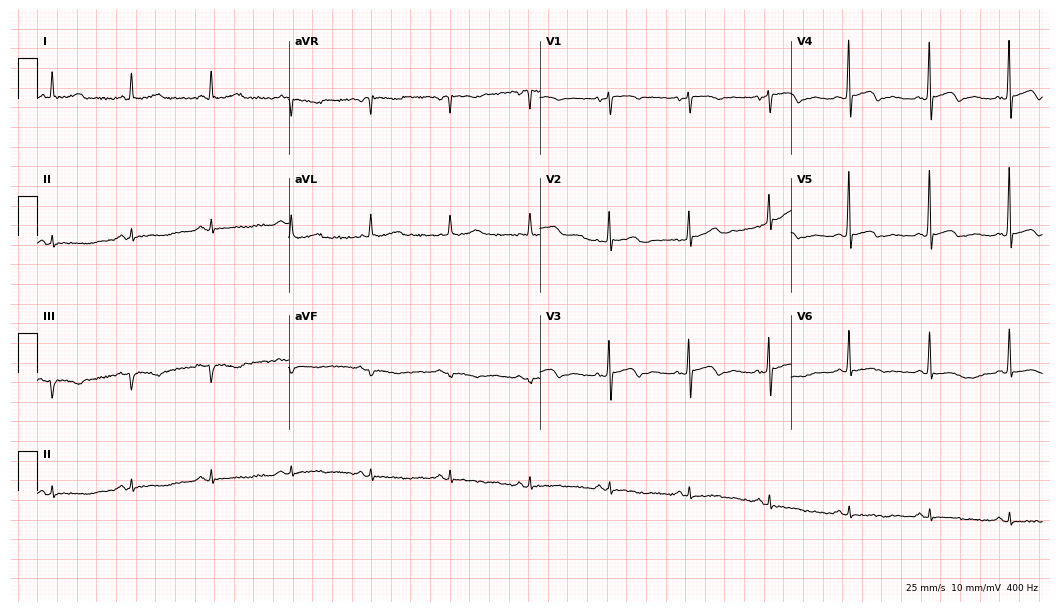
Electrocardiogram (10.2-second recording at 400 Hz), a woman, 85 years old. Of the six screened findings (first-degree AV block, right bundle branch block (RBBB), left bundle branch block (LBBB), sinus bradycardia, atrial fibrillation (AF), sinus tachycardia), none is recorded.